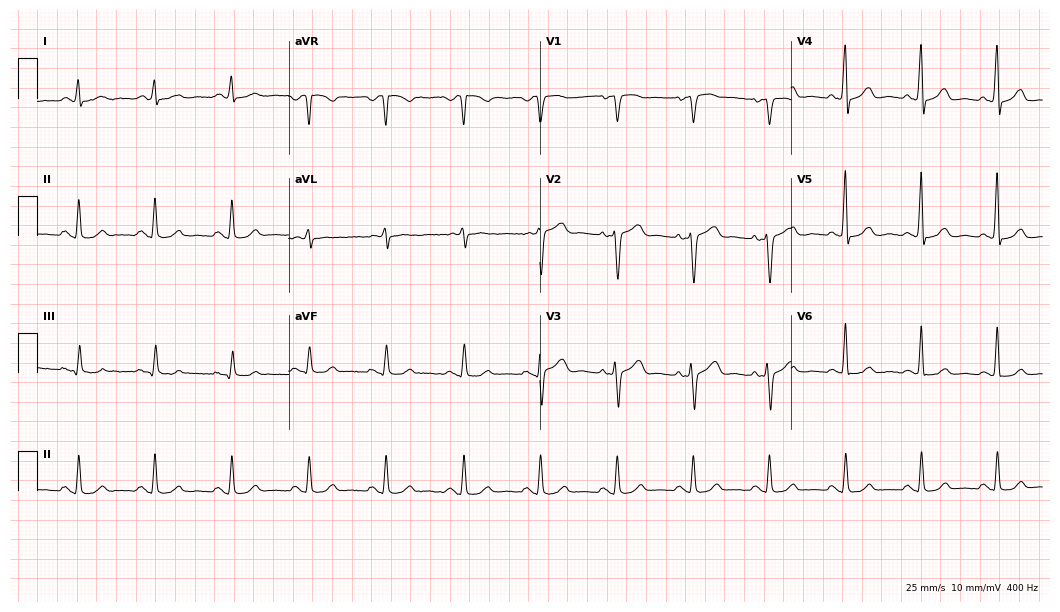
Standard 12-lead ECG recorded from a 49-year-old male patient. Read as a normal ECG.